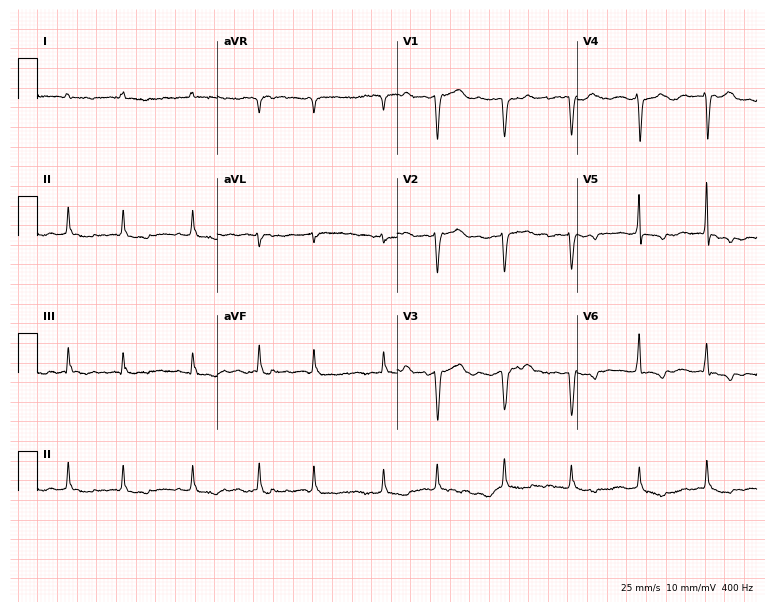
Electrocardiogram, an 80-year-old female. Interpretation includes atrial fibrillation (AF).